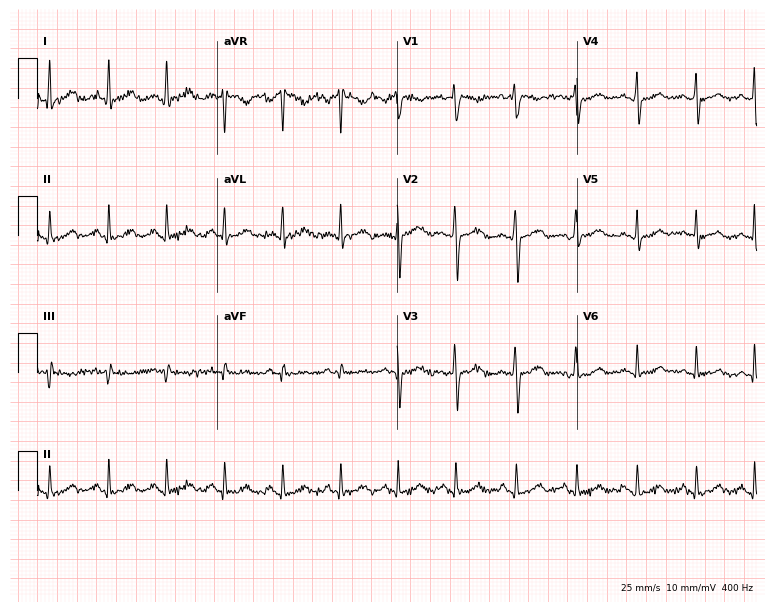
12-lead ECG from a 24-year-old woman (7.3-second recording at 400 Hz). Recorded interpretation: within normal limits.